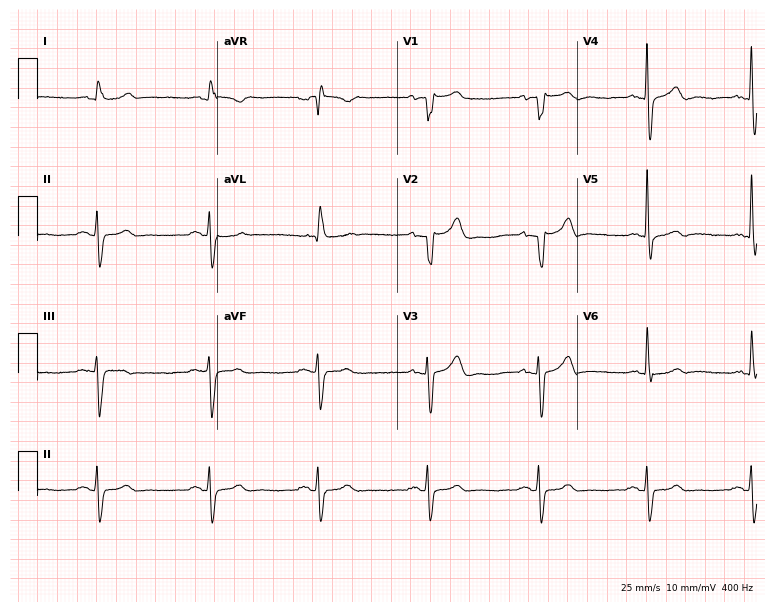
12-lead ECG from an 85-year-old man. No first-degree AV block, right bundle branch block, left bundle branch block, sinus bradycardia, atrial fibrillation or sinus tachycardia recorded for this tracing.